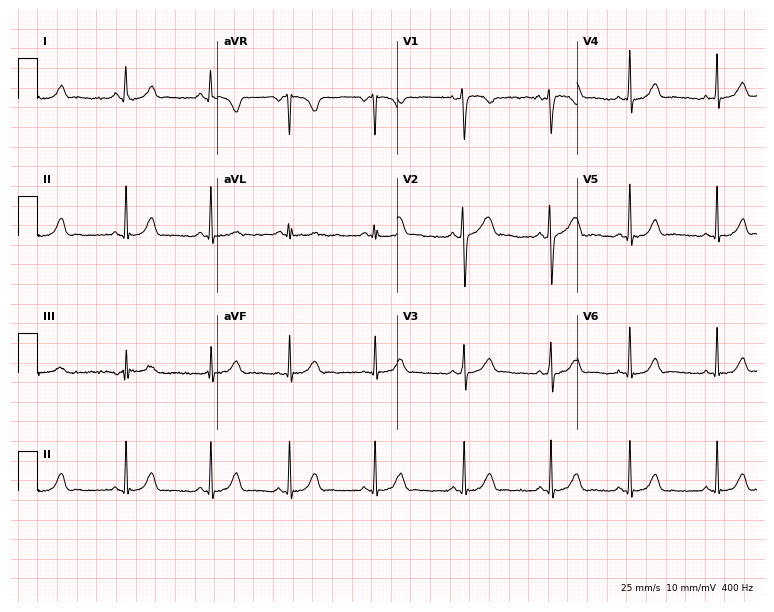
Resting 12-lead electrocardiogram (7.3-second recording at 400 Hz). Patient: a 19-year-old female. Read as a normal ECG.